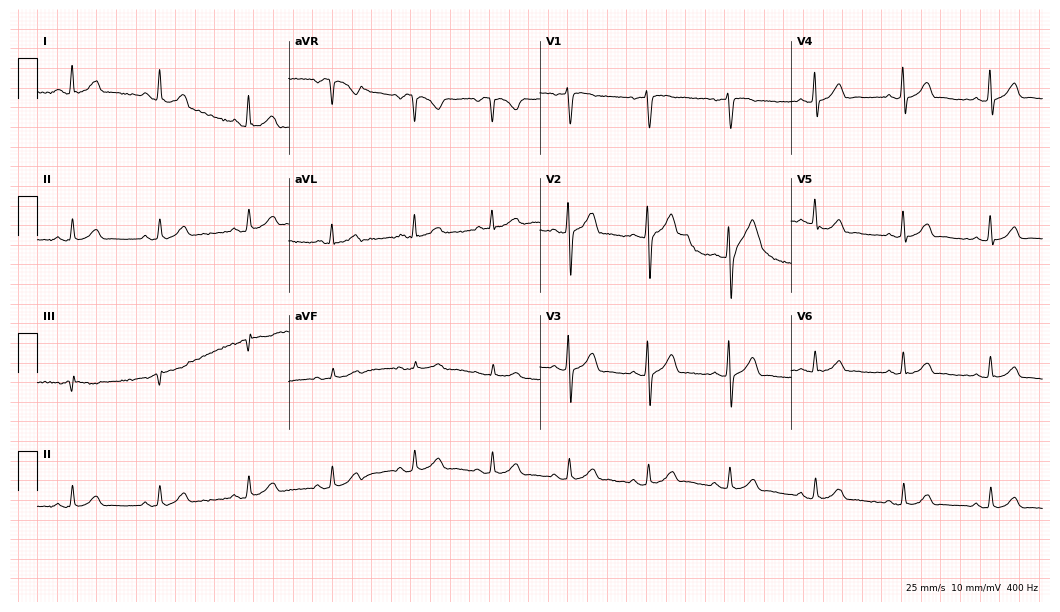
12-lead ECG (10.2-second recording at 400 Hz) from a male patient, 43 years old. Labelled as a normal ECG.